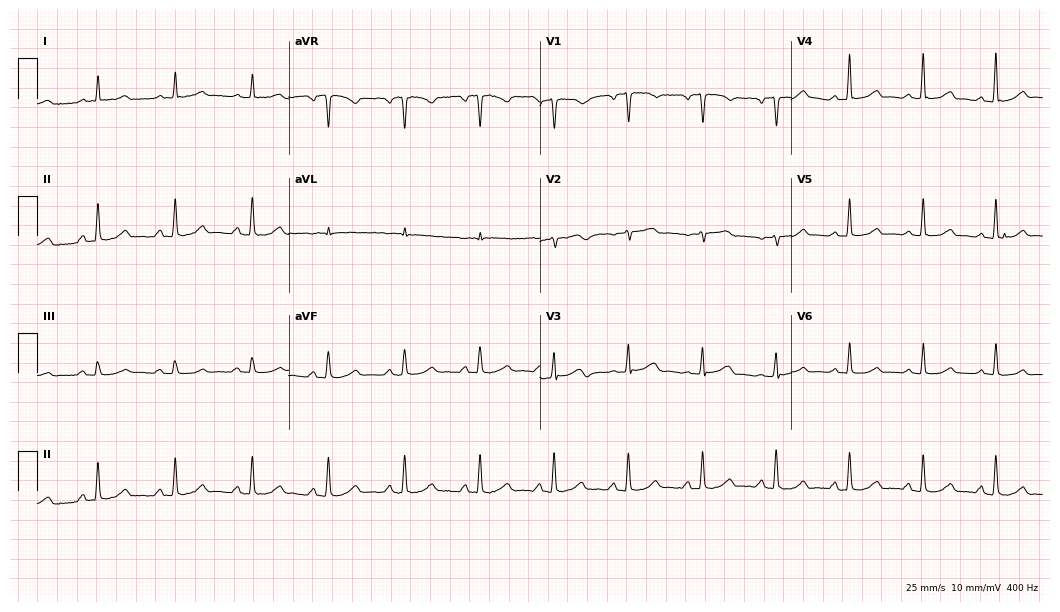
ECG (10.2-second recording at 400 Hz) — a woman, 65 years old. Labelled as a normal ECG.